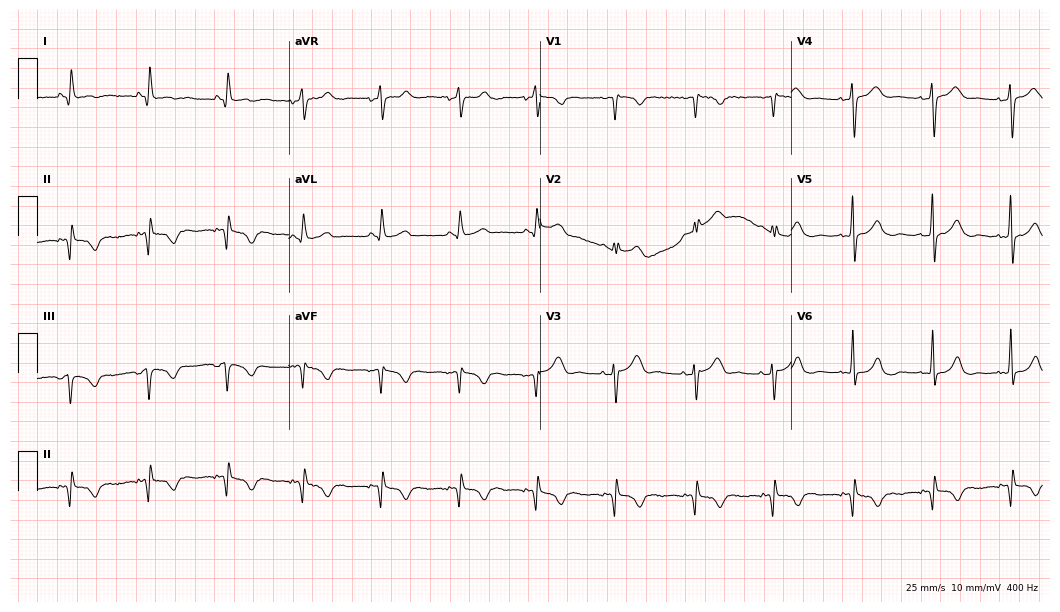
Electrocardiogram (10.2-second recording at 400 Hz), a woman, 46 years old. Of the six screened findings (first-degree AV block, right bundle branch block, left bundle branch block, sinus bradycardia, atrial fibrillation, sinus tachycardia), none is recorded.